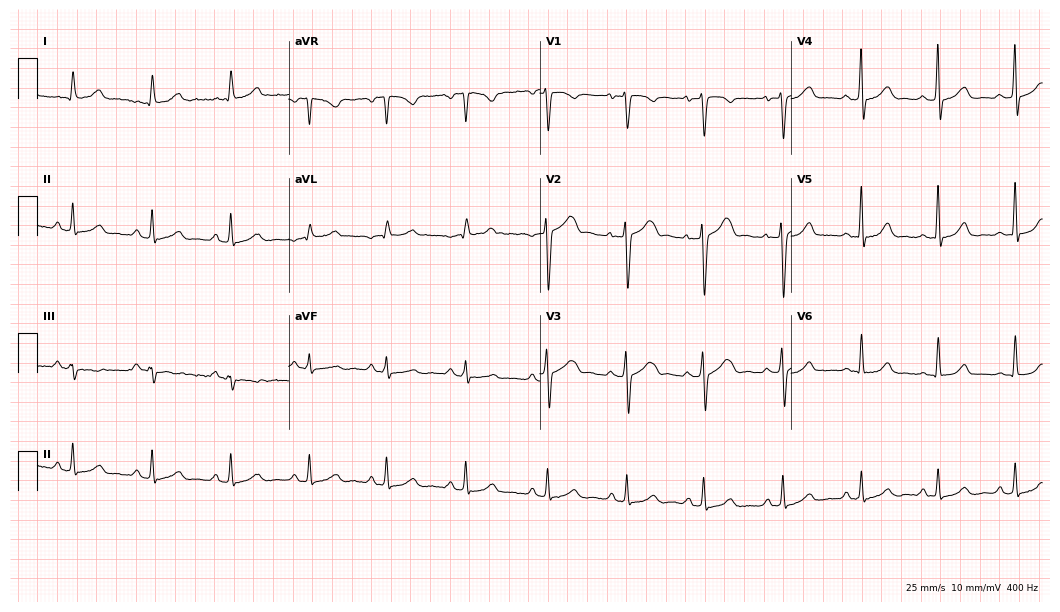
Electrocardiogram, a female, 39 years old. Of the six screened findings (first-degree AV block, right bundle branch block (RBBB), left bundle branch block (LBBB), sinus bradycardia, atrial fibrillation (AF), sinus tachycardia), none is recorded. Findings outside these six are not listed.